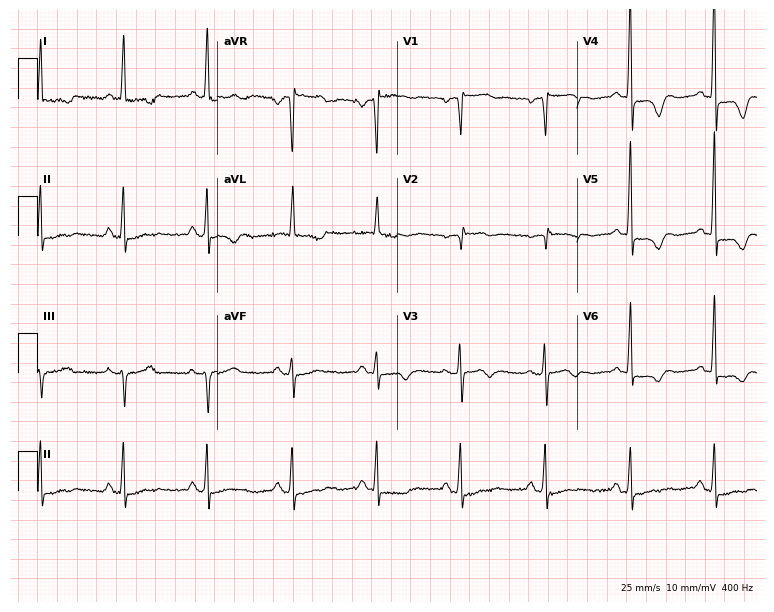
Standard 12-lead ECG recorded from a female, 81 years old (7.3-second recording at 400 Hz). None of these six findings is recorded: first-degree AV block, right bundle branch block, left bundle branch block, sinus bradycardia, atrial fibrillation, sinus tachycardia. Other findings, if any, are not listed.